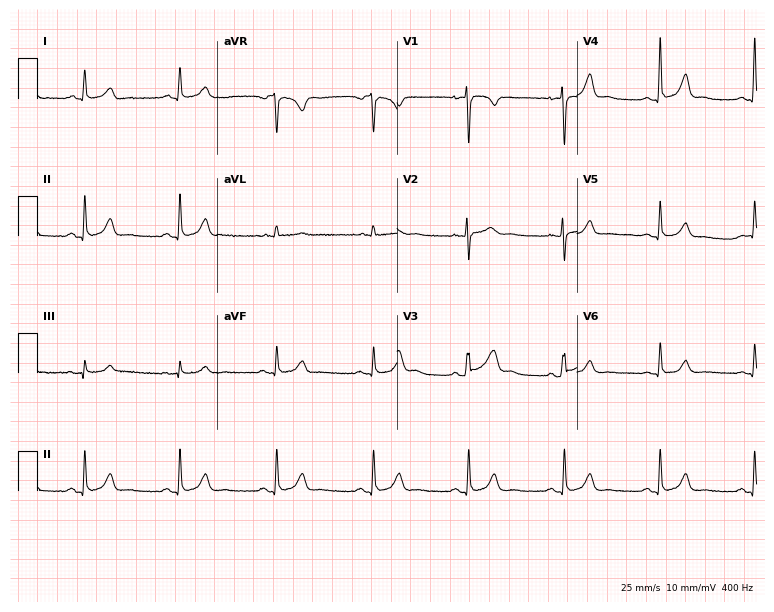
Resting 12-lead electrocardiogram. Patient: a 30-year-old woman. Read as a normal ECG.